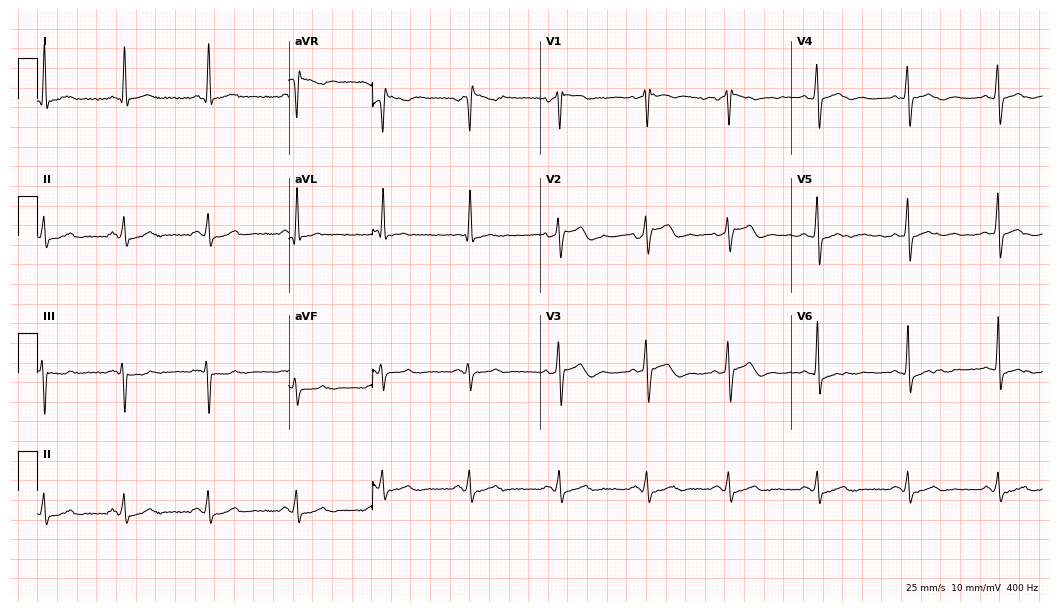
12-lead ECG (10.2-second recording at 400 Hz) from a 44-year-old man. Labelled as a normal ECG.